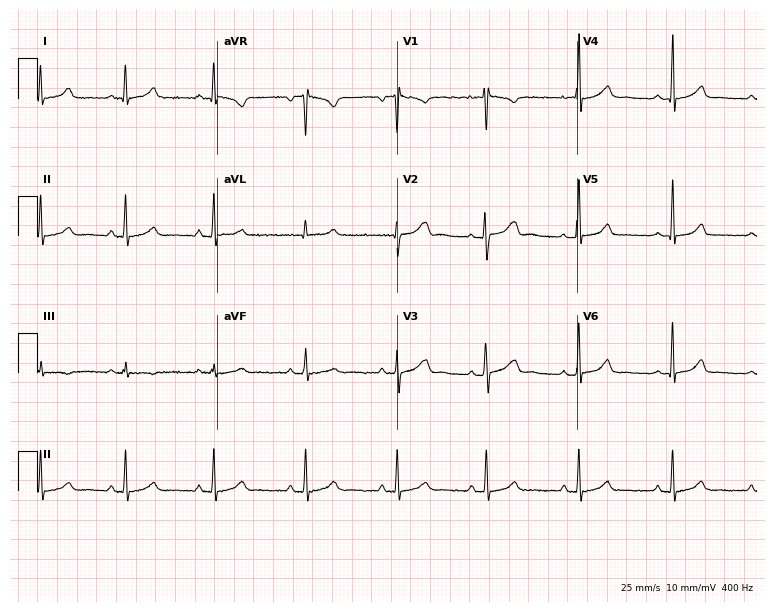
12-lead ECG from a woman, 27 years old. Screened for six findings — first-degree AV block, right bundle branch block, left bundle branch block, sinus bradycardia, atrial fibrillation, sinus tachycardia — none is recorded. Other findings, if any, are not listed.